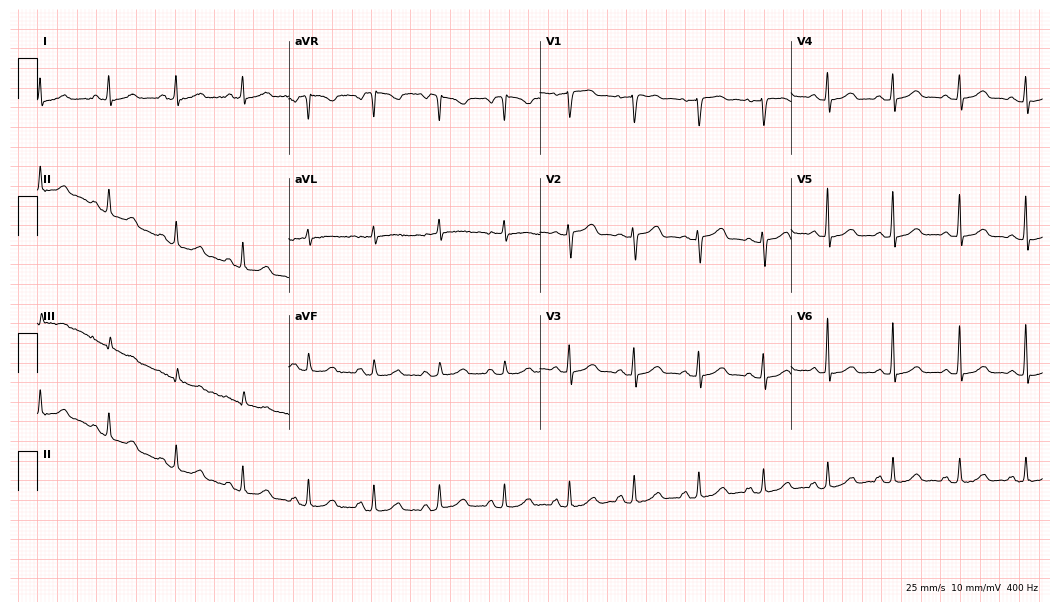
12-lead ECG (10.2-second recording at 400 Hz) from a 45-year-old female. Labelled as a normal ECG.